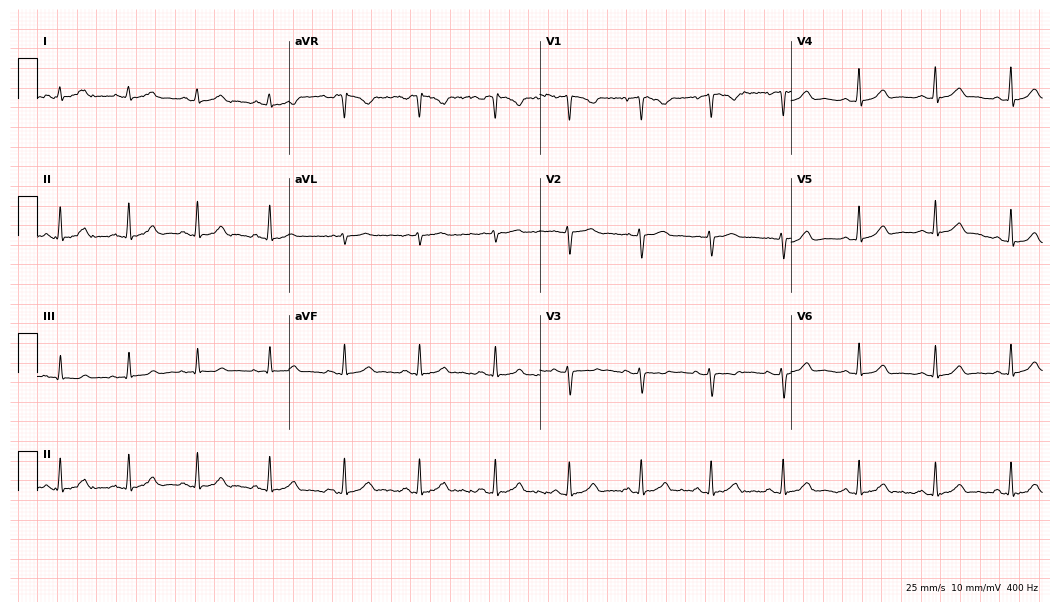
Electrocardiogram, a 25-year-old female. Overall reading on record: normal ECG.